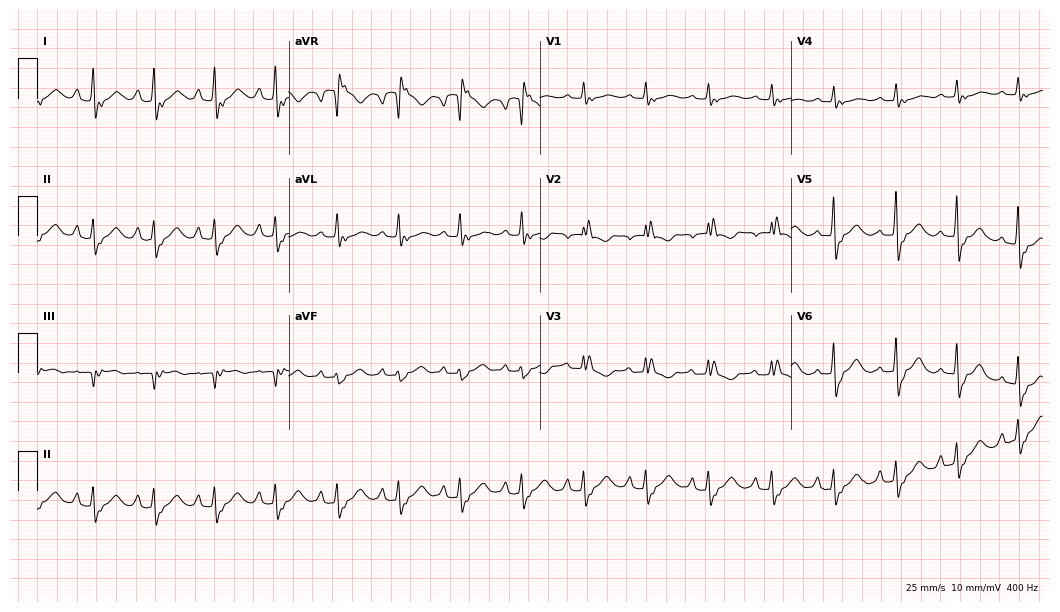
Resting 12-lead electrocardiogram (10.2-second recording at 400 Hz). Patient: an 81-year-old woman. The tracing shows right bundle branch block.